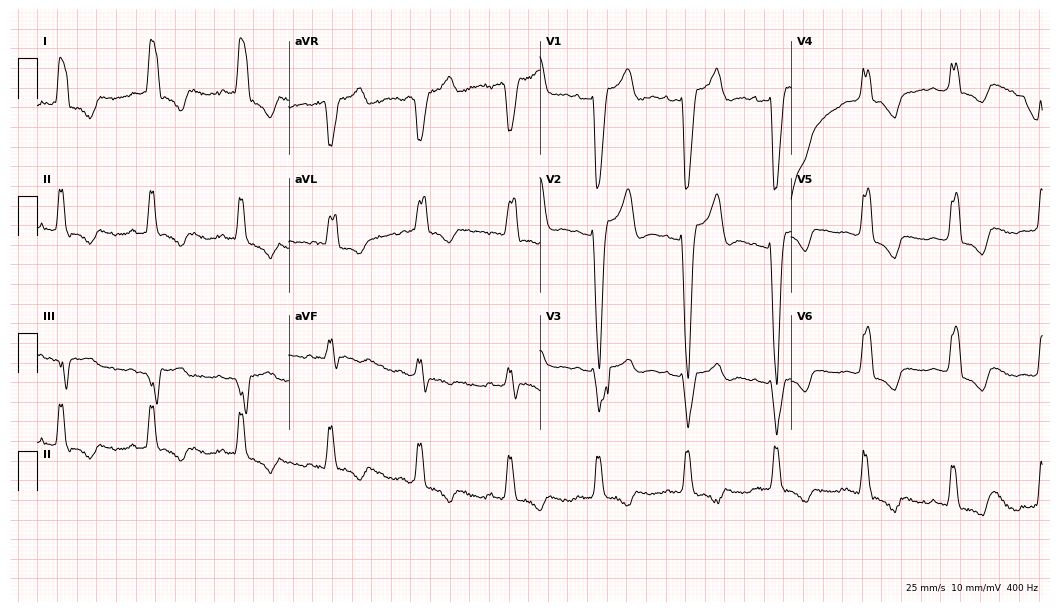
12-lead ECG from a woman, 85 years old (10.2-second recording at 400 Hz). Shows left bundle branch block.